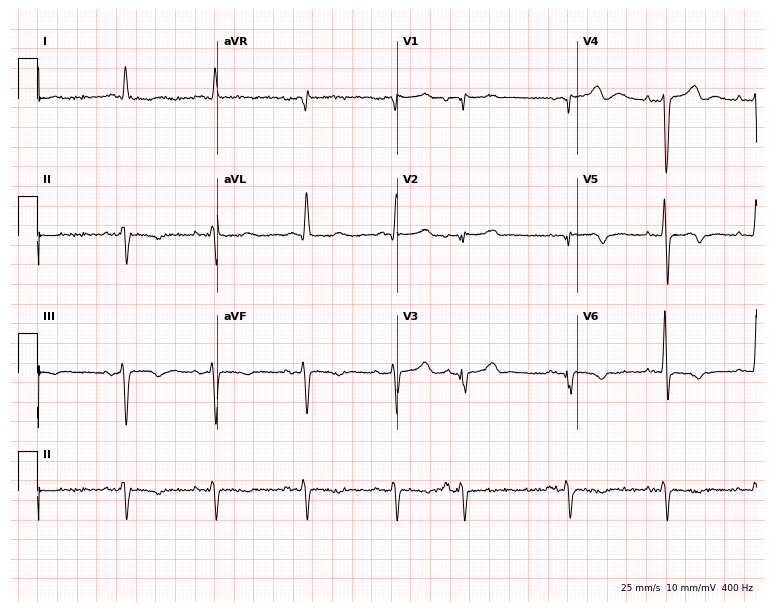
12-lead ECG from a male, 85 years old. Recorded interpretation: within normal limits.